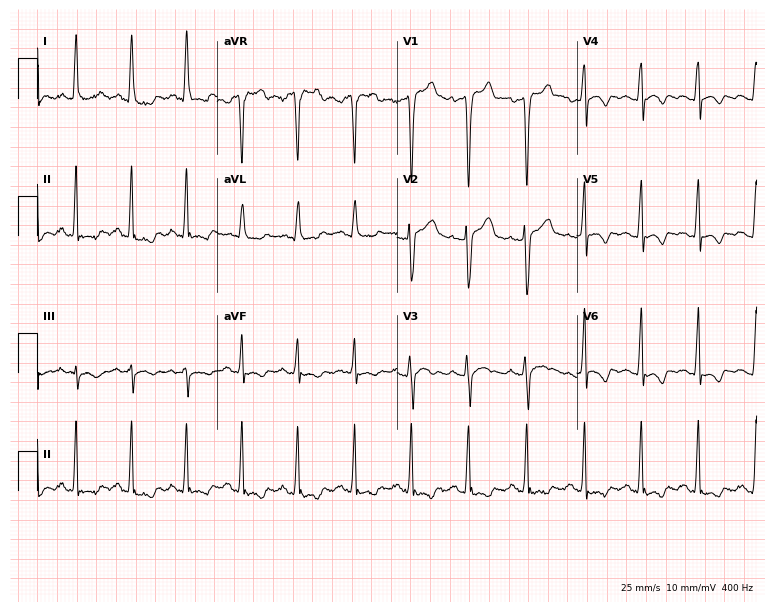
12-lead ECG from a man, 27 years old. Screened for six findings — first-degree AV block, right bundle branch block (RBBB), left bundle branch block (LBBB), sinus bradycardia, atrial fibrillation (AF), sinus tachycardia — none is recorded. Only these six findings were labelled.